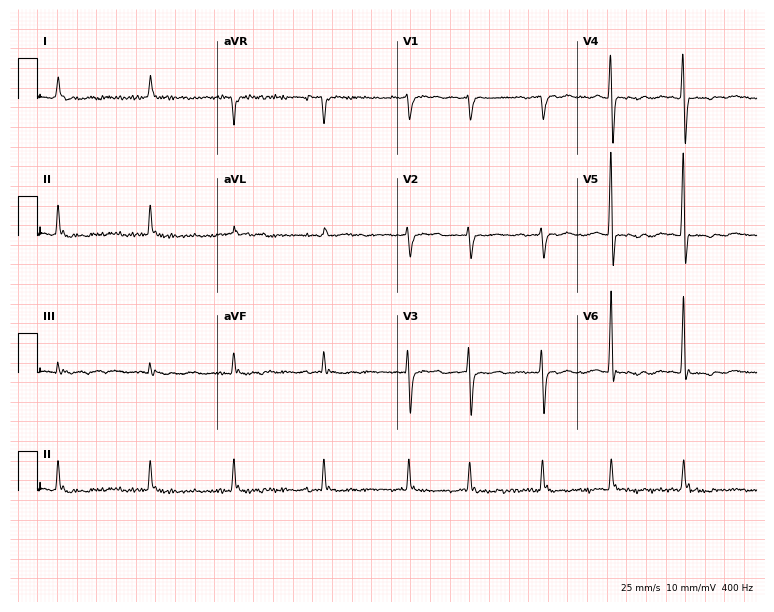
Resting 12-lead electrocardiogram (7.3-second recording at 400 Hz). Patient: a 77-year-old woman. The tracing shows atrial fibrillation (AF).